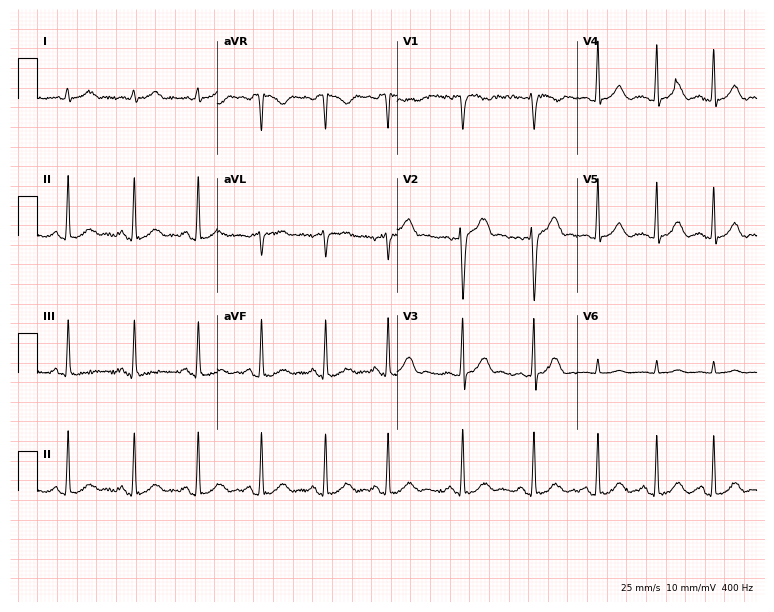
ECG (7.3-second recording at 400 Hz) — a 46-year-old male. Labelled as a normal ECG.